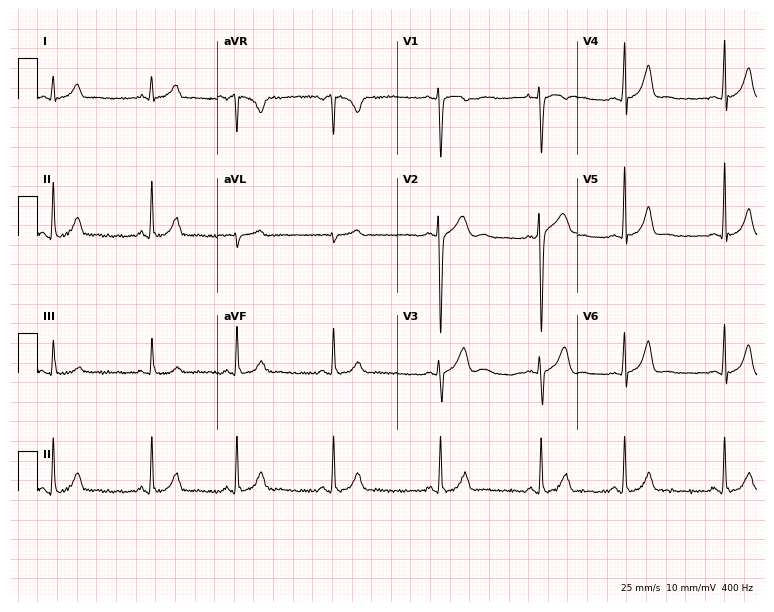
12-lead ECG (7.3-second recording at 400 Hz) from a female patient, 25 years old. Screened for six findings — first-degree AV block, right bundle branch block, left bundle branch block, sinus bradycardia, atrial fibrillation, sinus tachycardia — none is recorded.